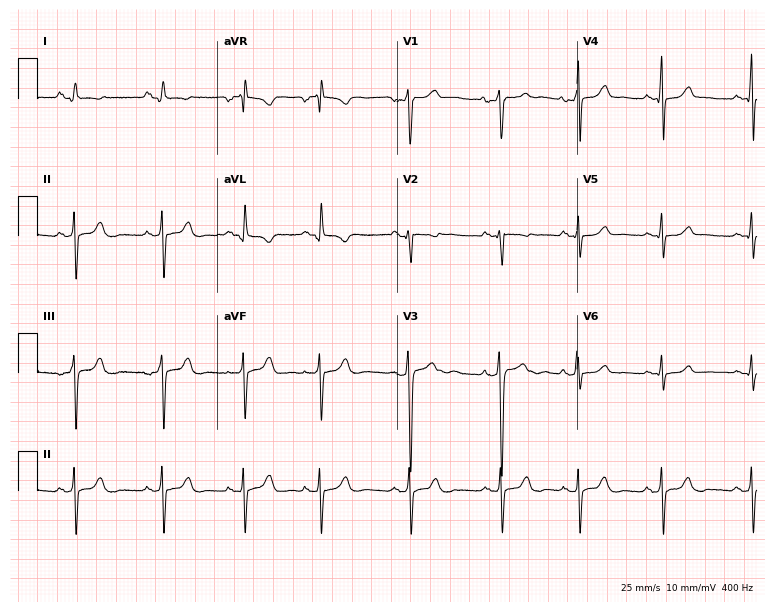
12-lead ECG from an 18-year-old female patient (7.3-second recording at 400 Hz). No first-degree AV block, right bundle branch block, left bundle branch block, sinus bradycardia, atrial fibrillation or sinus tachycardia recorded for this tracing. Other findings, if any, are not listed.